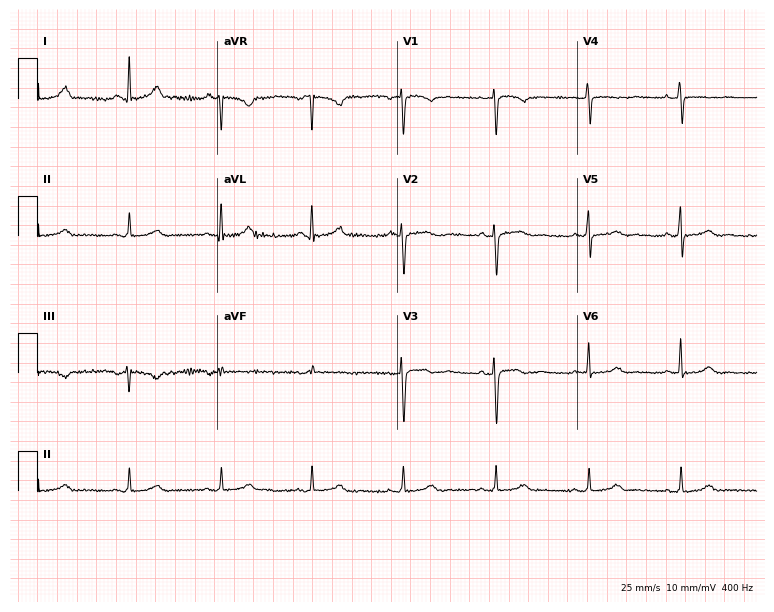
Resting 12-lead electrocardiogram. Patient: a 60-year-old woman. Read as a normal ECG.